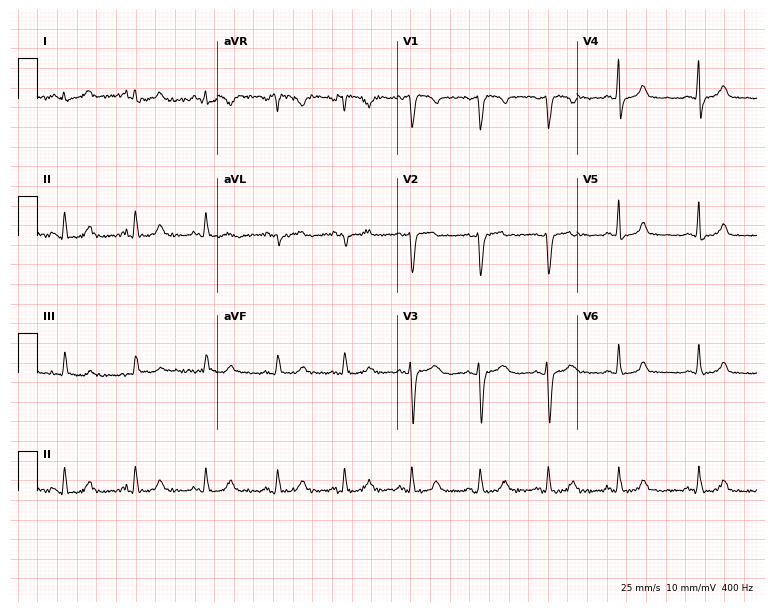
ECG — a female patient, 31 years old. Labelled as a normal ECG.